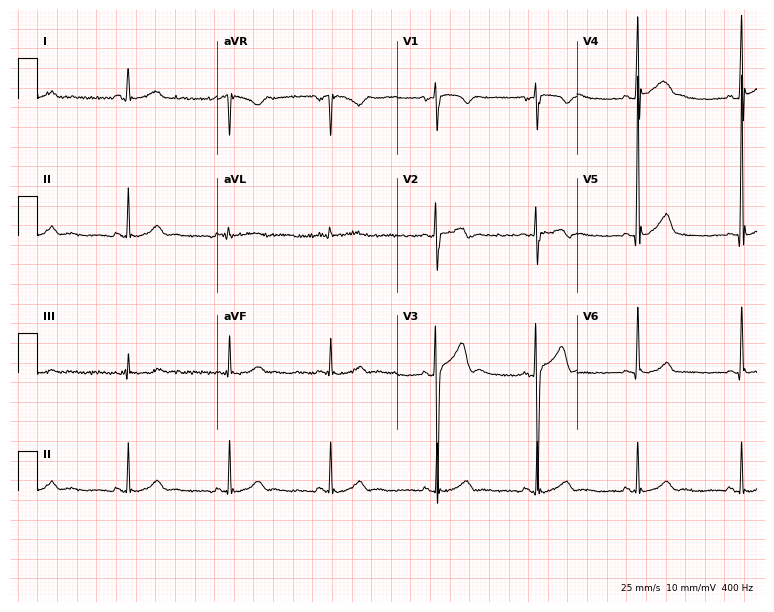
12-lead ECG from a male patient, 20 years old. Screened for six findings — first-degree AV block, right bundle branch block, left bundle branch block, sinus bradycardia, atrial fibrillation, sinus tachycardia — none is recorded. Findings outside these six are not listed.